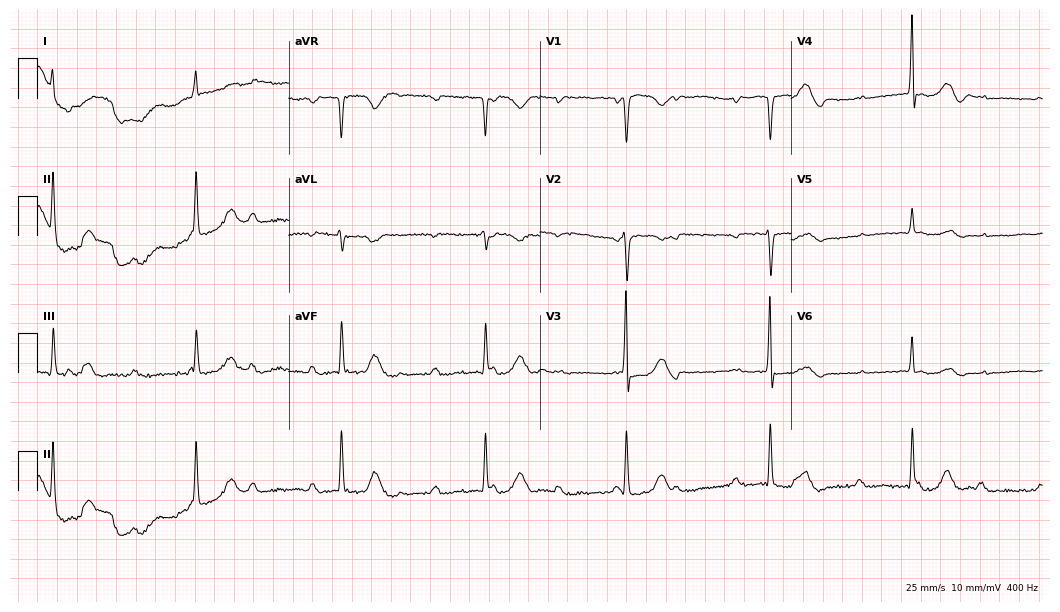
Electrocardiogram, an 85-year-old female patient. Of the six screened findings (first-degree AV block, right bundle branch block, left bundle branch block, sinus bradycardia, atrial fibrillation, sinus tachycardia), none is recorded.